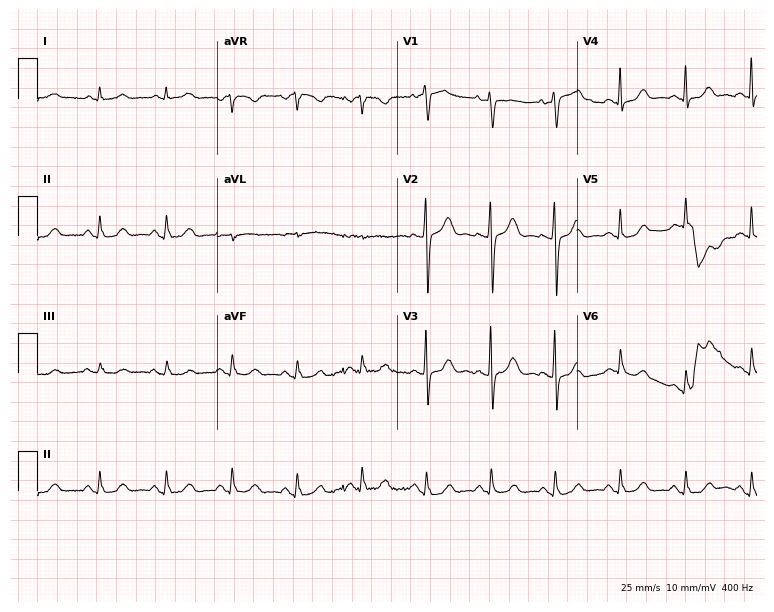
Resting 12-lead electrocardiogram. Patient: a 64-year-old female. Read as a normal ECG.